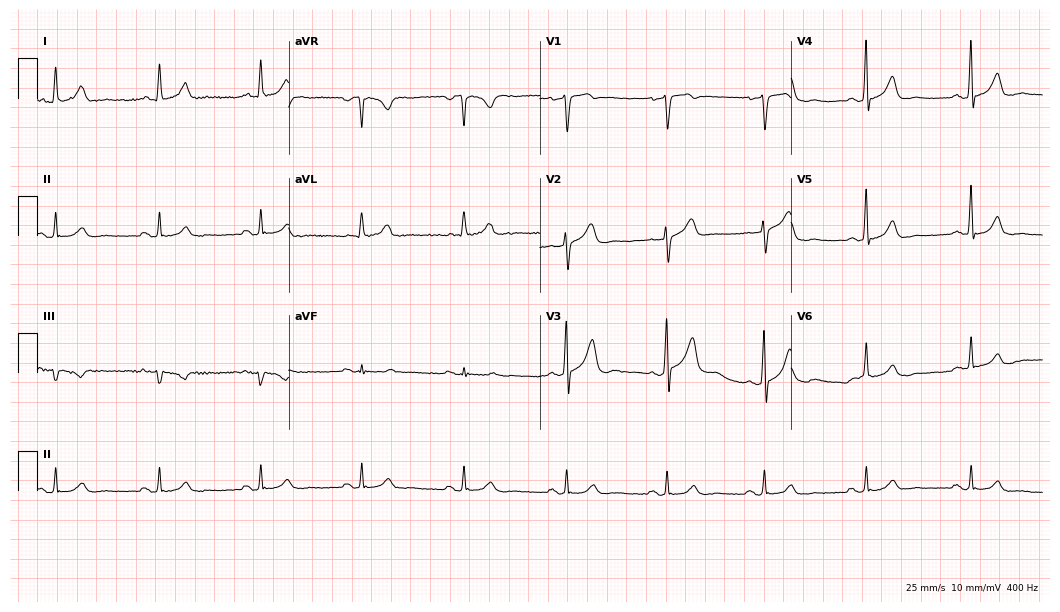
Electrocardiogram, a 60-year-old male. Overall reading on record: normal ECG.